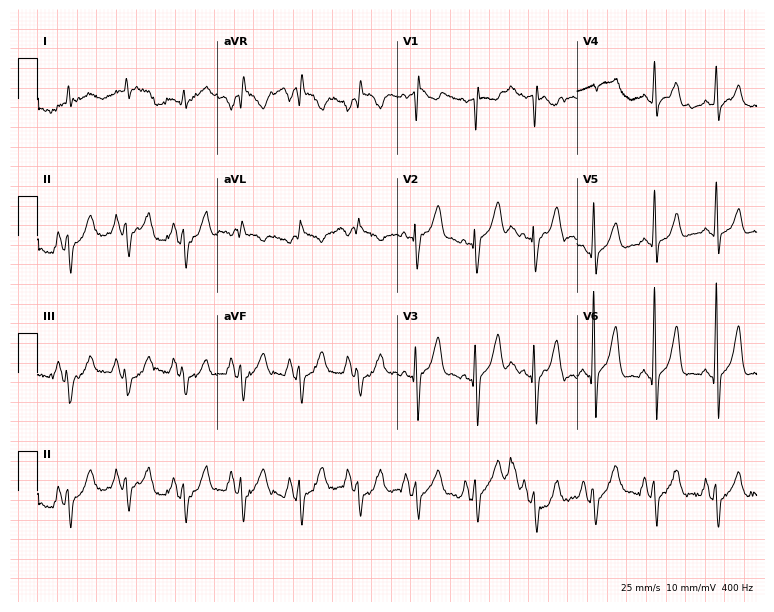
ECG — a 65-year-old male patient. Findings include sinus tachycardia (a sinus rate of 100 beats per minute or more).